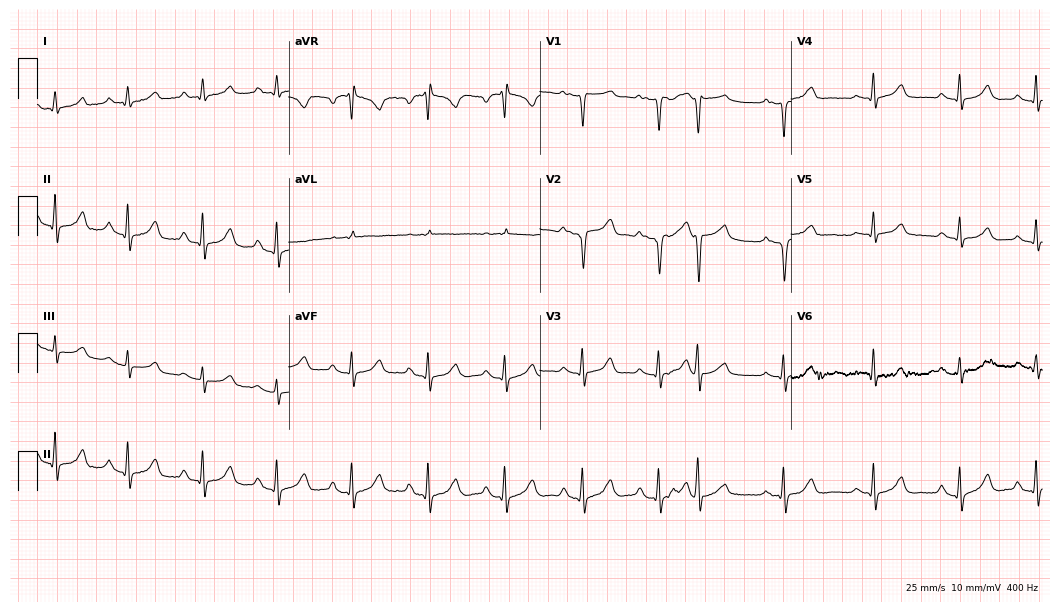
Resting 12-lead electrocardiogram (10.2-second recording at 400 Hz). Patient: a woman, 70 years old. None of these six findings is recorded: first-degree AV block, right bundle branch block, left bundle branch block, sinus bradycardia, atrial fibrillation, sinus tachycardia.